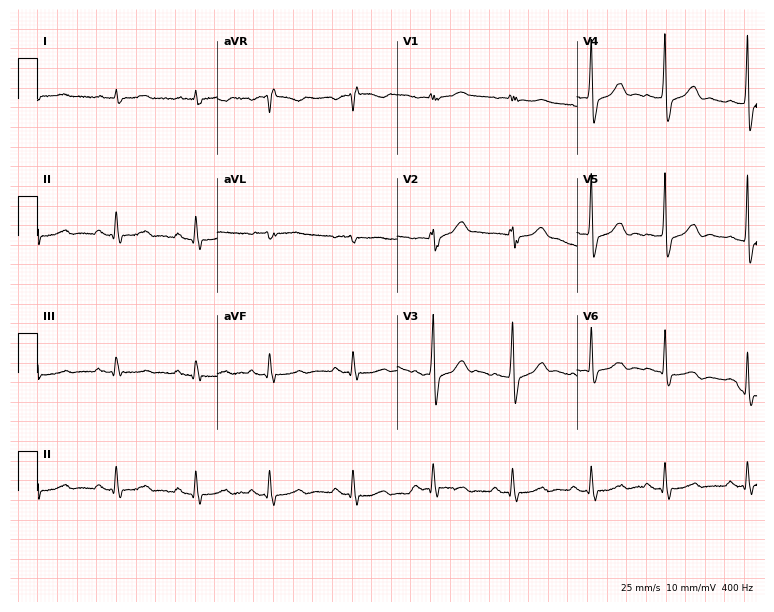
12-lead ECG (7.3-second recording at 400 Hz) from a male, 79 years old. Findings include right bundle branch block.